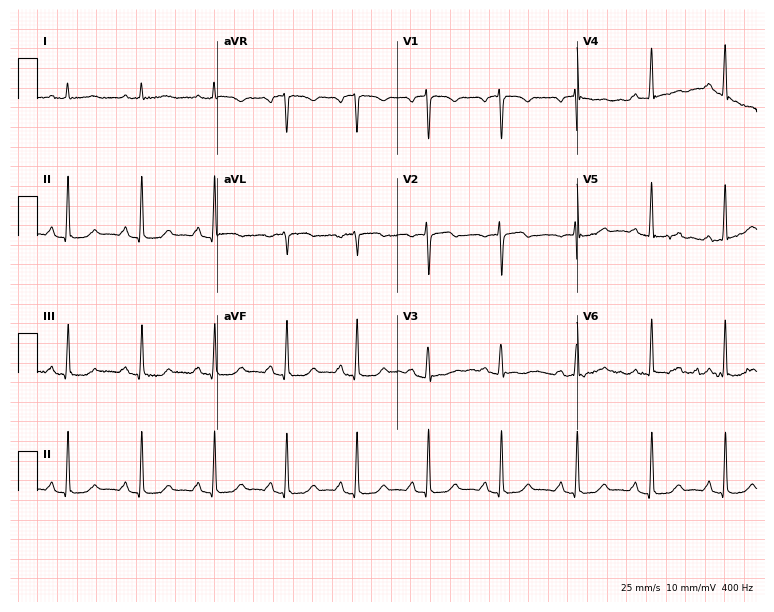
ECG (7.3-second recording at 400 Hz) — a female patient, 58 years old. Screened for six findings — first-degree AV block, right bundle branch block (RBBB), left bundle branch block (LBBB), sinus bradycardia, atrial fibrillation (AF), sinus tachycardia — none is recorded.